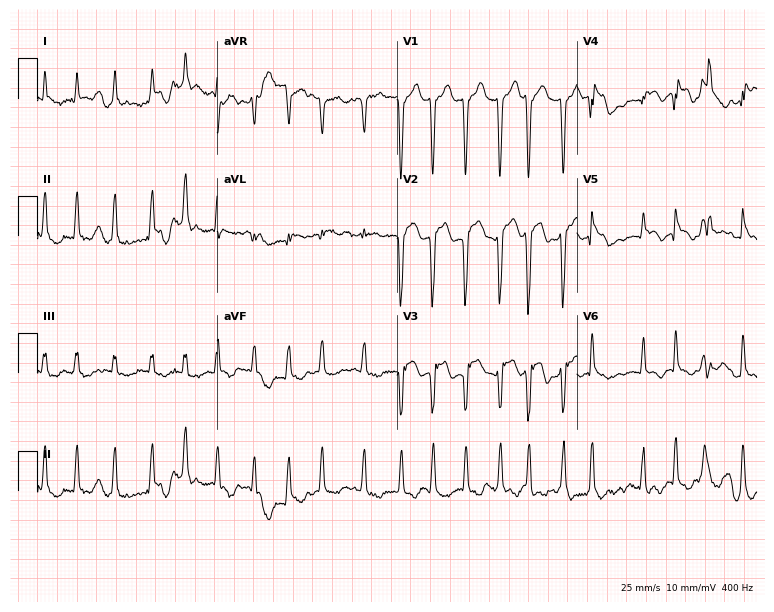
Electrocardiogram (7.3-second recording at 400 Hz), a male patient, 70 years old. Interpretation includes atrial fibrillation (AF).